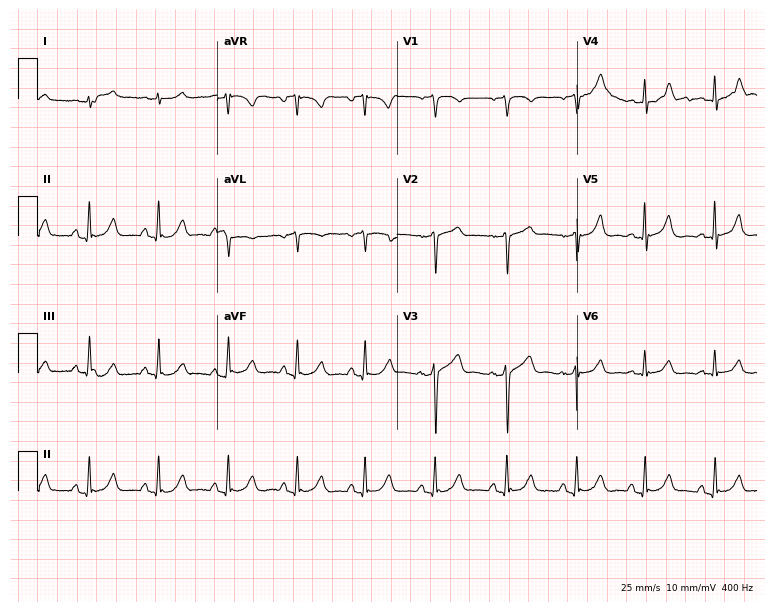
12-lead ECG from a male, 66 years old. No first-degree AV block, right bundle branch block, left bundle branch block, sinus bradycardia, atrial fibrillation or sinus tachycardia recorded for this tracing. Other findings, if any, are not listed.